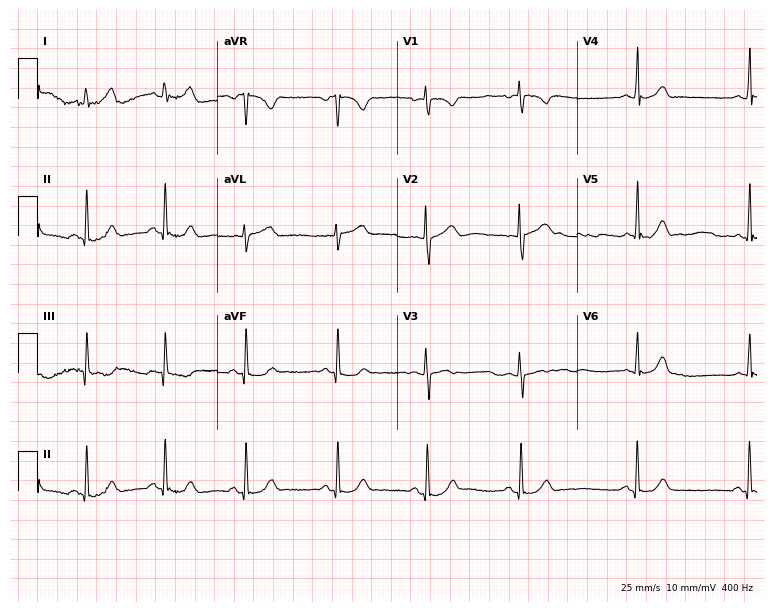
Resting 12-lead electrocardiogram. Patient: a 17-year-old female. Read as a normal ECG.